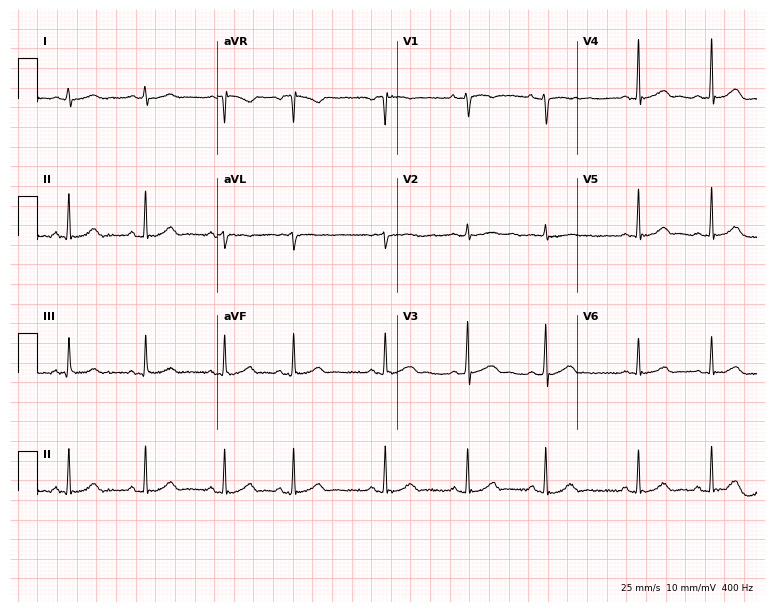
12-lead ECG from a female patient, 17 years old. Screened for six findings — first-degree AV block, right bundle branch block, left bundle branch block, sinus bradycardia, atrial fibrillation, sinus tachycardia — none is recorded. Only these six findings were labelled.